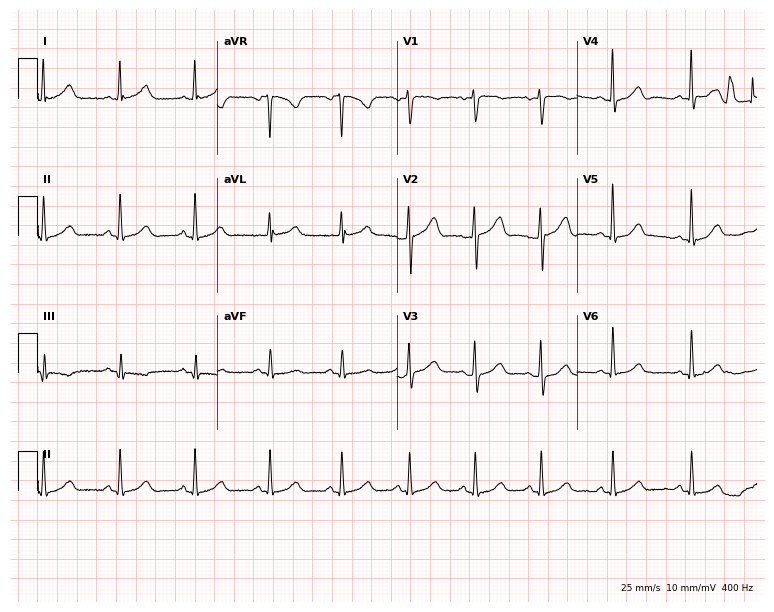
12-lead ECG from a female patient, 42 years old. Labelled as a normal ECG.